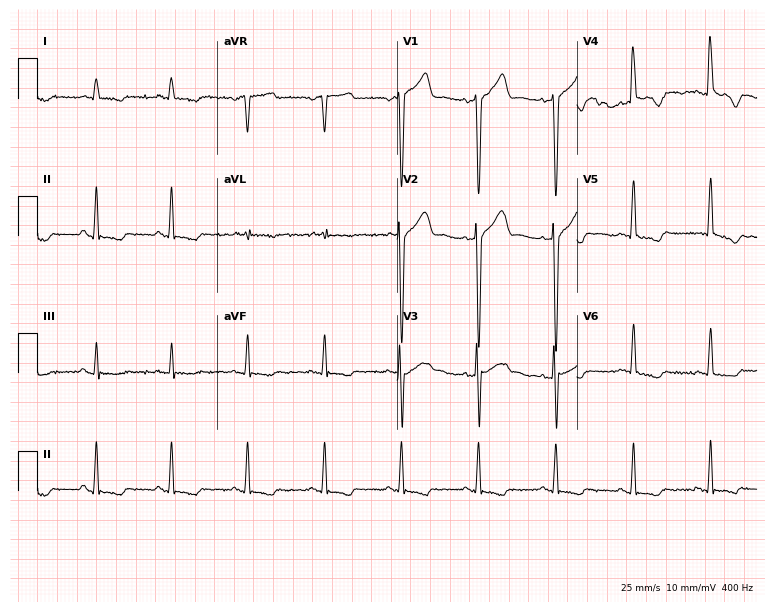
Electrocardiogram, a male patient, 58 years old. Of the six screened findings (first-degree AV block, right bundle branch block, left bundle branch block, sinus bradycardia, atrial fibrillation, sinus tachycardia), none is recorded. Findings outside these six are not listed.